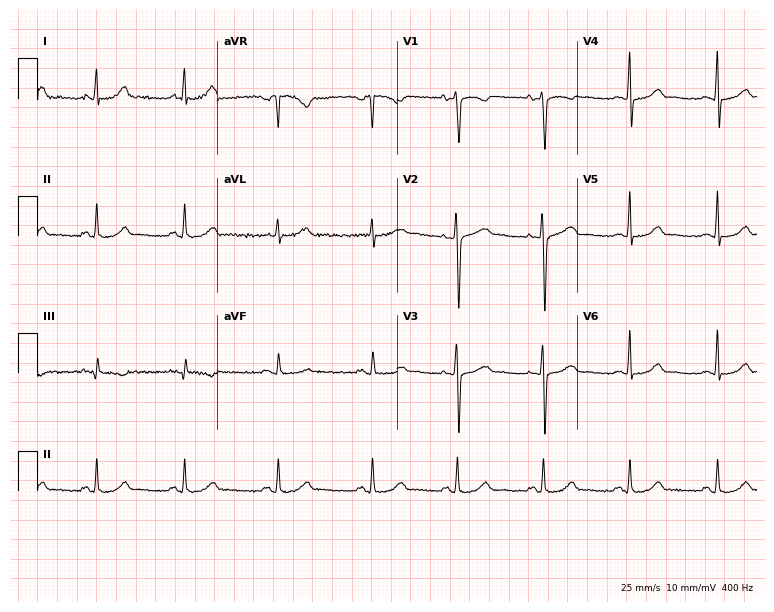
Resting 12-lead electrocardiogram (7.3-second recording at 400 Hz). Patient: a 55-year-old female. Read as a normal ECG.